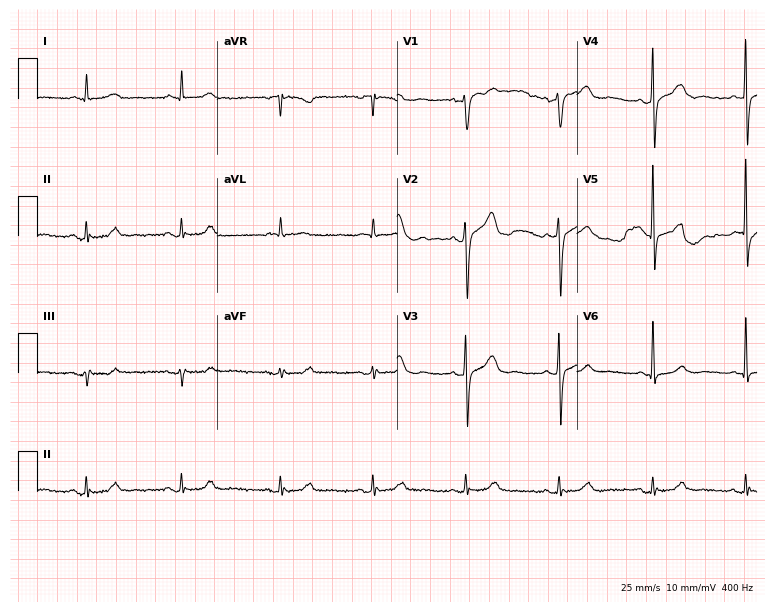
12-lead ECG (7.3-second recording at 400 Hz) from a 79-year-old man. Screened for six findings — first-degree AV block, right bundle branch block, left bundle branch block, sinus bradycardia, atrial fibrillation, sinus tachycardia — none is recorded. Findings outside these six are not listed.